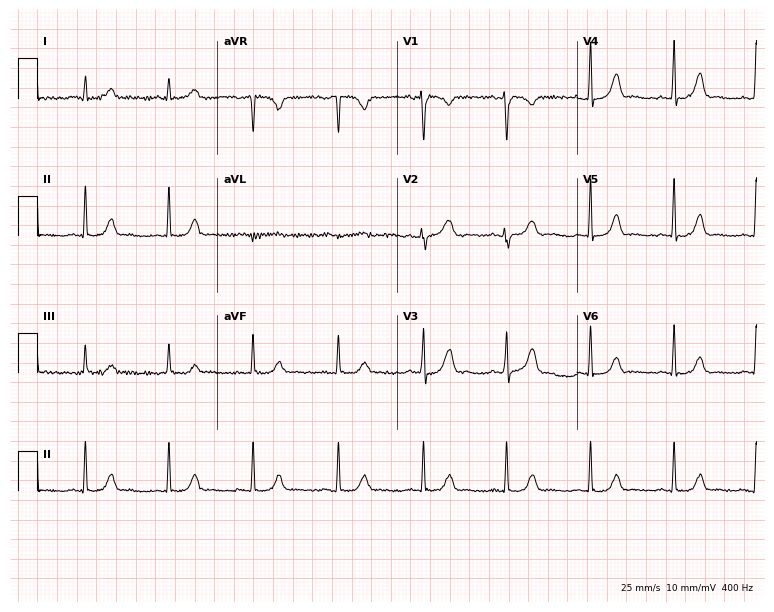
12-lead ECG (7.3-second recording at 400 Hz) from a female patient, 42 years old. Screened for six findings — first-degree AV block, right bundle branch block, left bundle branch block, sinus bradycardia, atrial fibrillation, sinus tachycardia — none is recorded. Only these six findings were labelled.